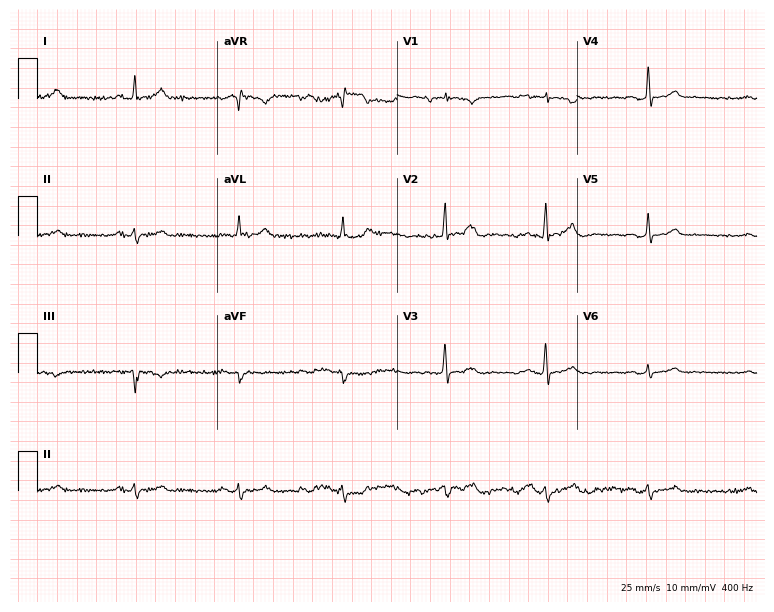
ECG — a male patient, 64 years old. Labelled as a normal ECG.